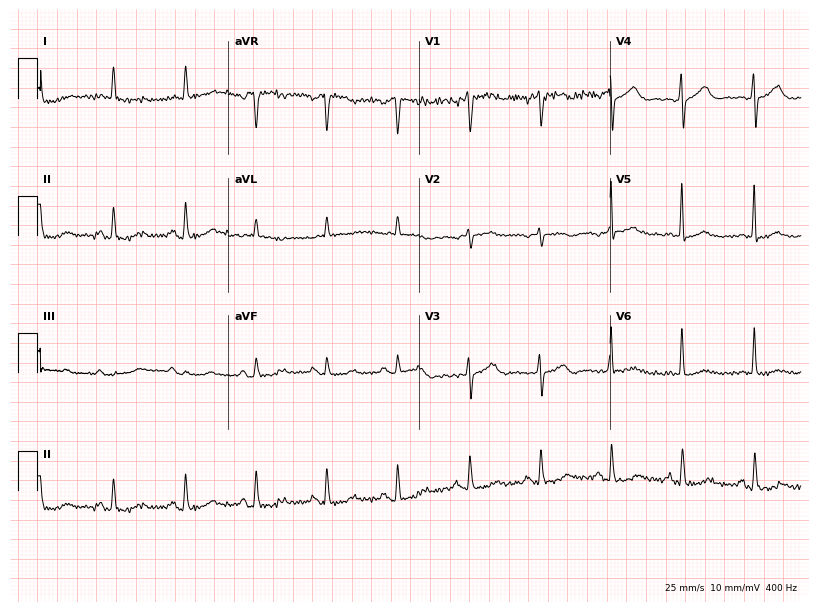
12-lead ECG from a 79-year-old woman (7.8-second recording at 400 Hz). No first-degree AV block, right bundle branch block, left bundle branch block, sinus bradycardia, atrial fibrillation or sinus tachycardia recorded for this tracing. Only these six findings were labelled.